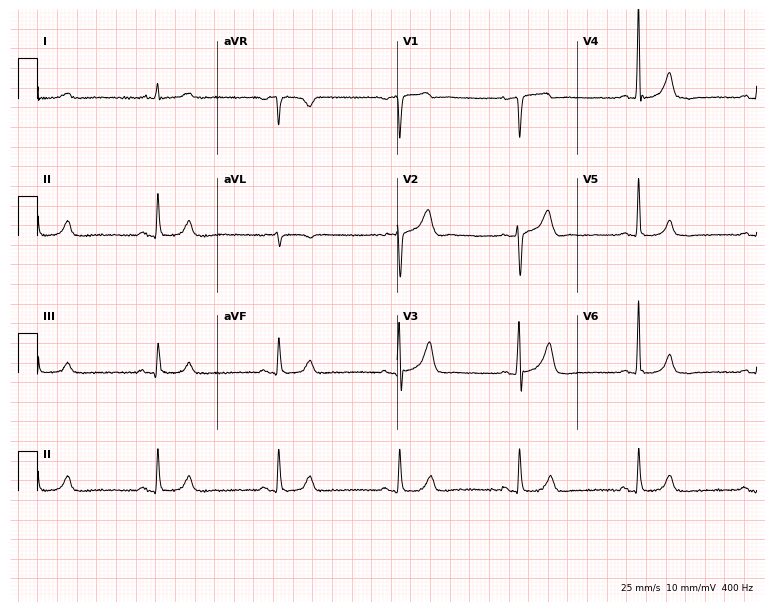
ECG (7.3-second recording at 400 Hz) — a male, 75 years old. Findings include sinus bradycardia (a sinus rate of 50 beats per minute or less).